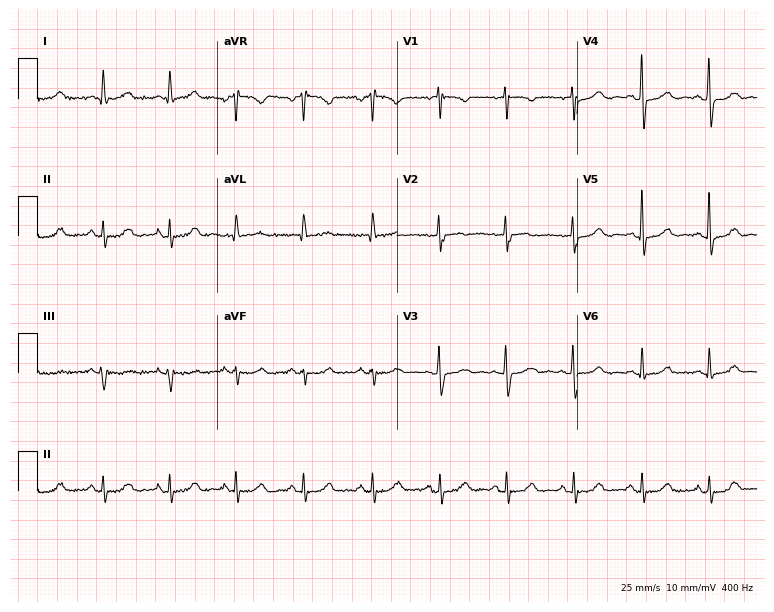
12-lead ECG from a female patient, 69 years old (7.3-second recording at 400 Hz). No first-degree AV block, right bundle branch block (RBBB), left bundle branch block (LBBB), sinus bradycardia, atrial fibrillation (AF) or sinus tachycardia recorded for this tracing. Other findings, if any, are not listed.